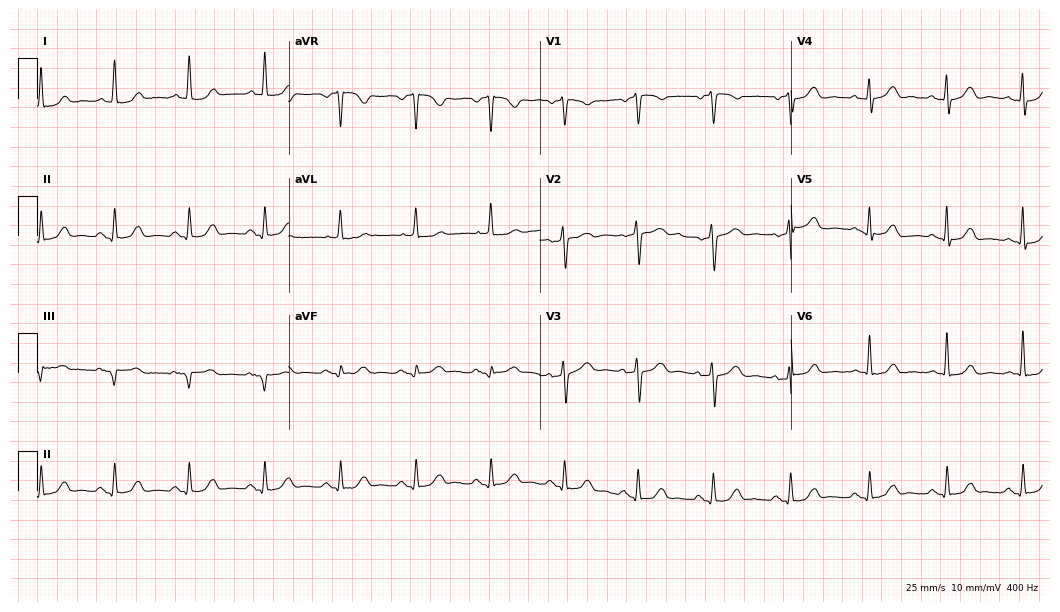
12-lead ECG (10.2-second recording at 400 Hz) from a 55-year-old female. Labelled as a normal ECG.